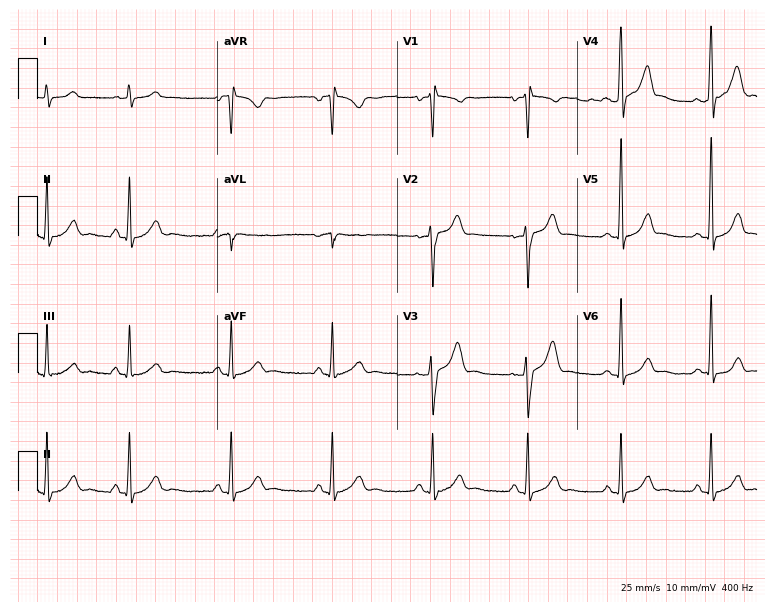
12-lead ECG (7.3-second recording at 400 Hz) from a man, 36 years old. Screened for six findings — first-degree AV block, right bundle branch block, left bundle branch block, sinus bradycardia, atrial fibrillation, sinus tachycardia — none is recorded. Only these six findings were labelled.